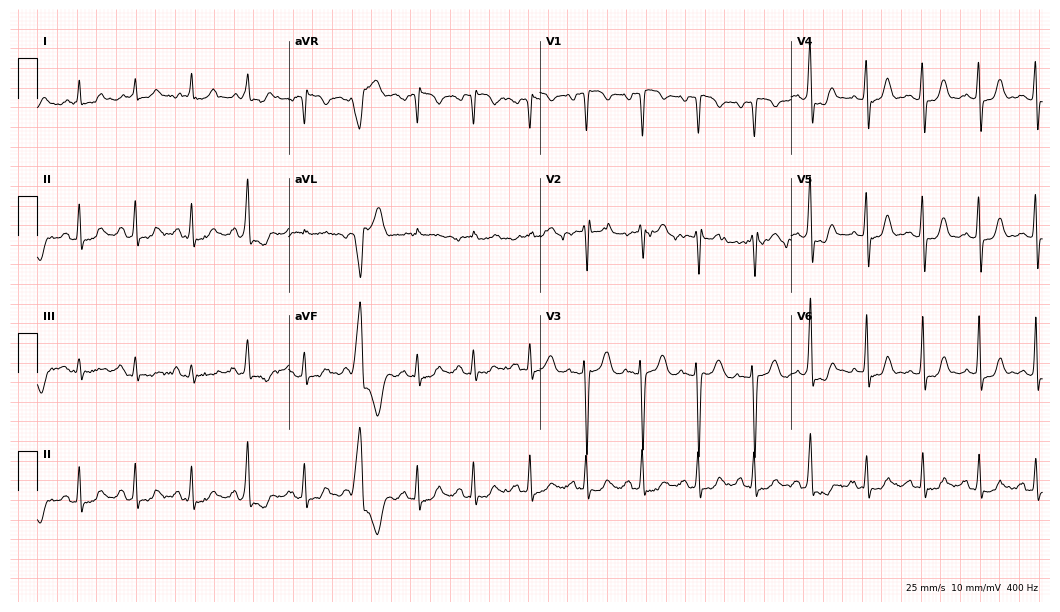
ECG — a female, 72 years old. Findings include sinus tachycardia (a sinus rate of 100 beats per minute or more).